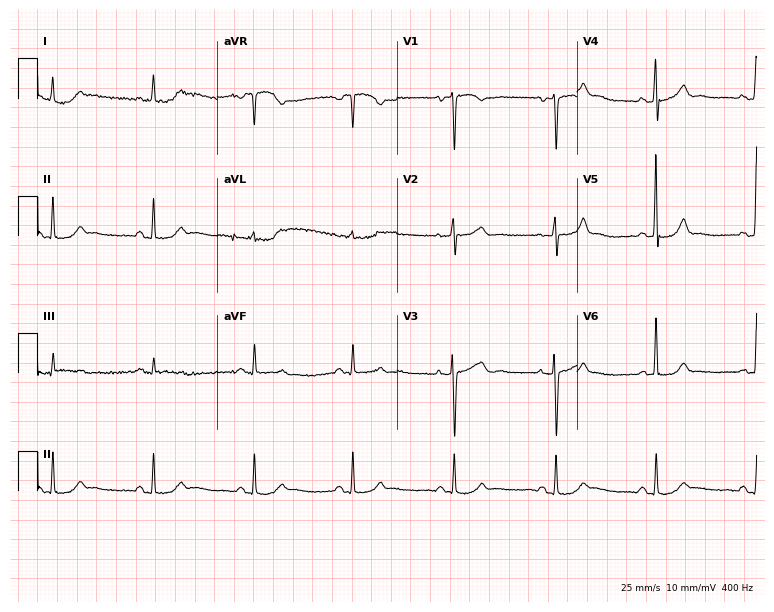
12-lead ECG from a 64-year-old female. Recorded interpretation: within normal limits.